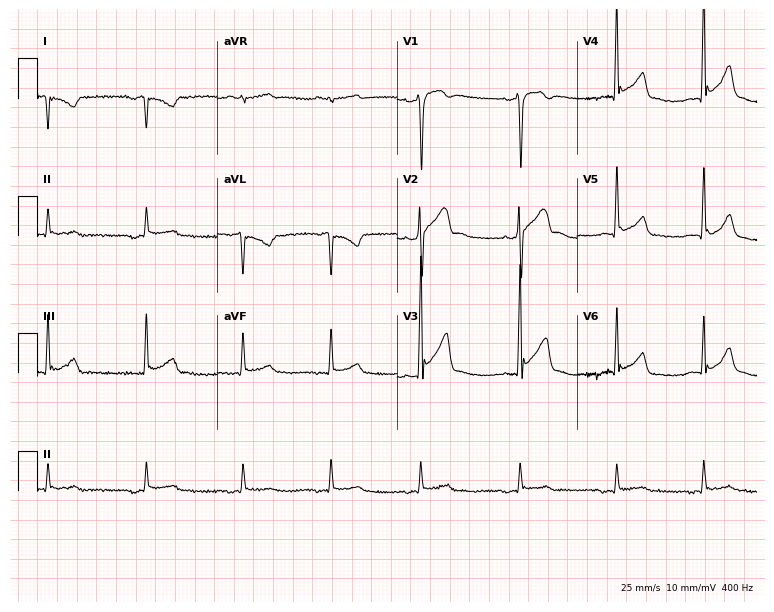
12-lead ECG (7.3-second recording at 400 Hz) from a male, 27 years old. Screened for six findings — first-degree AV block, right bundle branch block (RBBB), left bundle branch block (LBBB), sinus bradycardia, atrial fibrillation (AF), sinus tachycardia — none is recorded.